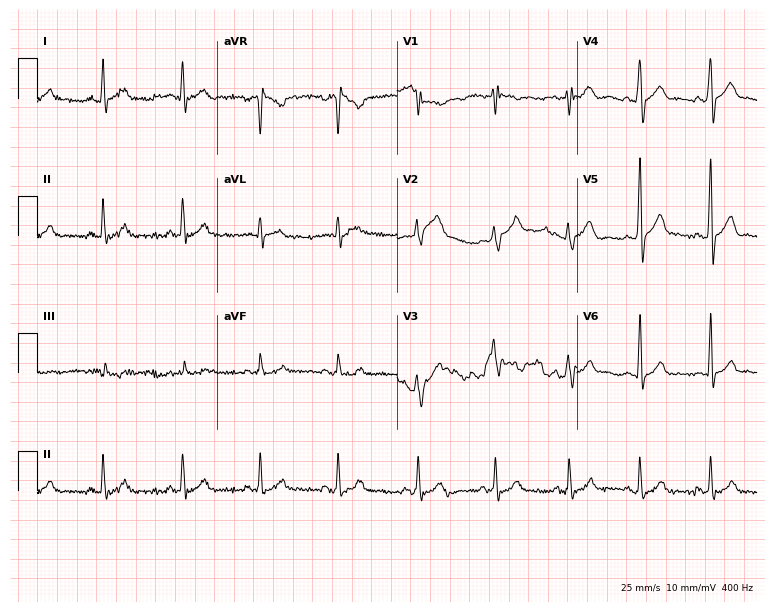
12-lead ECG from a 34-year-old man. Recorded interpretation: within normal limits.